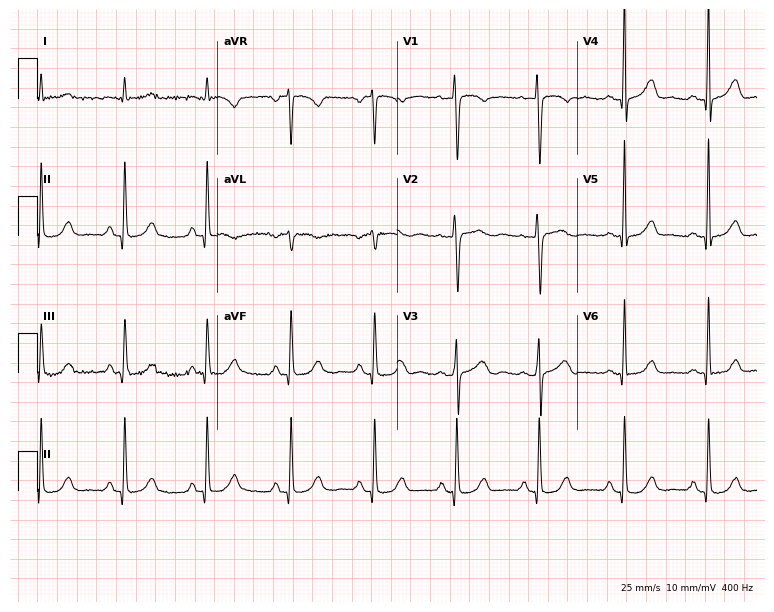
ECG — a woman, 68 years old. Labelled as a normal ECG.